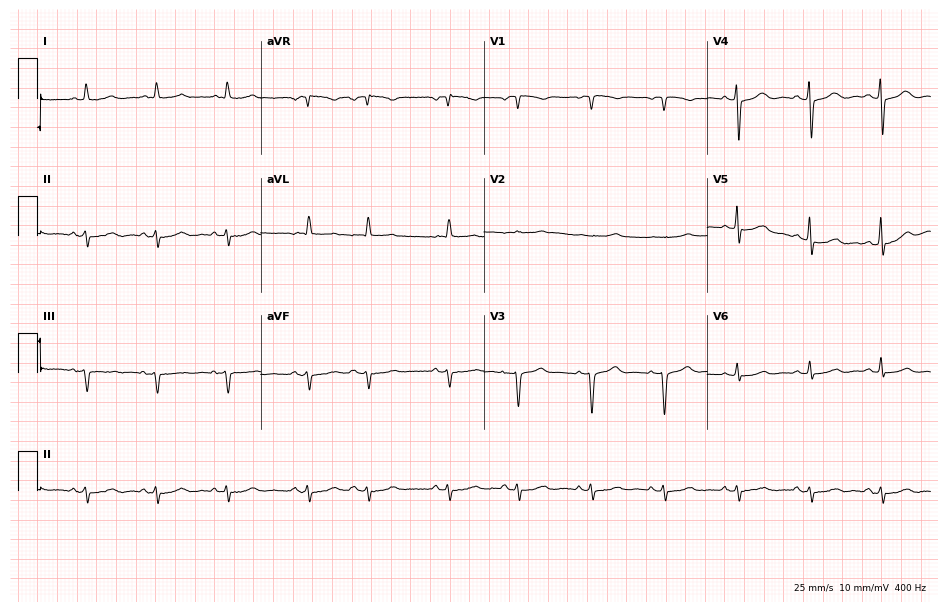
ECG — a female, 72 years old. Screened for six findings — first-degree AV block, right bundle branch block (RBBB), left bundle branch block (LBBB), sinus bradycardia, atrial fibrillation (AF), sinus tachycardia — none is recorded. Findings outside these six are not listed.